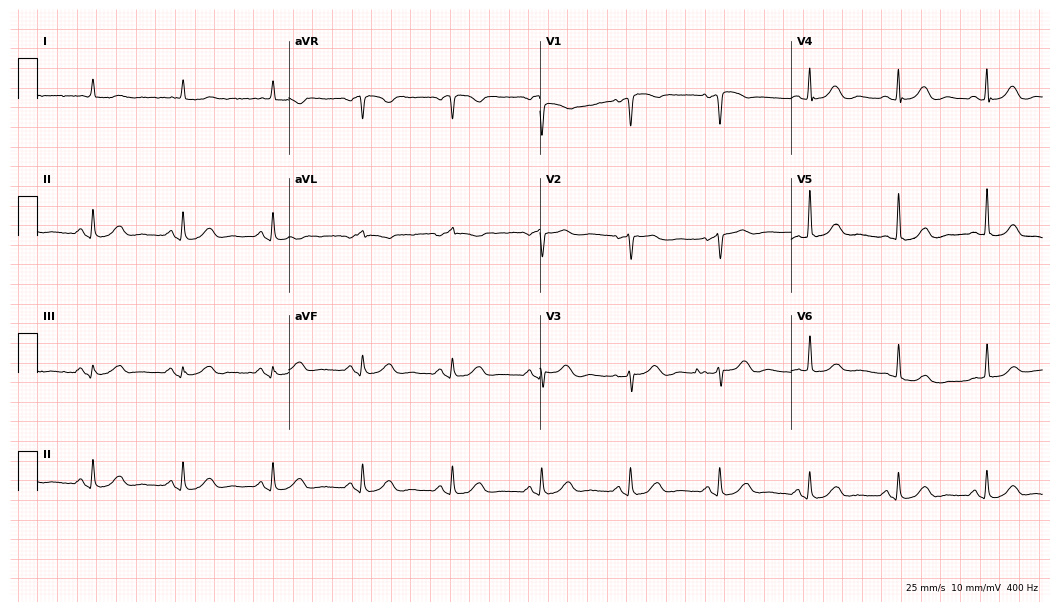
Resting 12-lead electrocardiogram (10.2-second recording at 400 Hz). Patient: an 83-year-old woman. Read as a normal ECG.